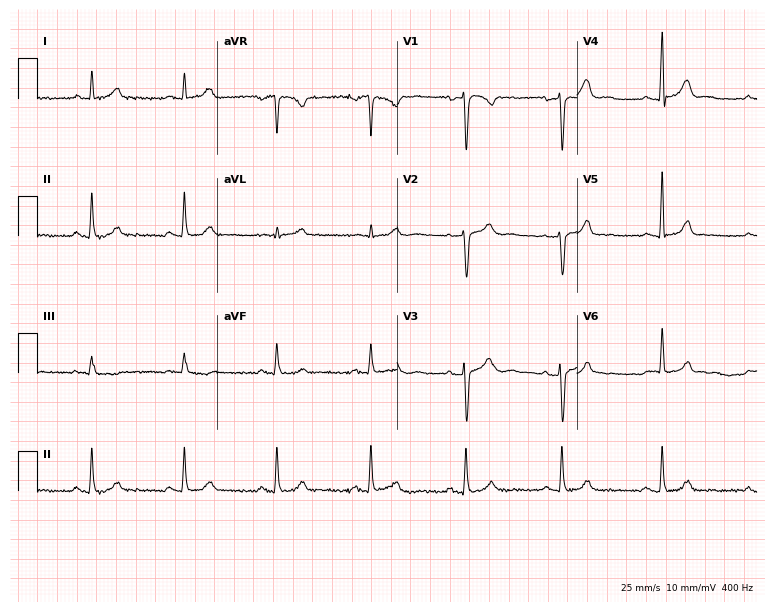
Electrocardiogram, a 39-year-old female. Overall reading on record: normal ECG.